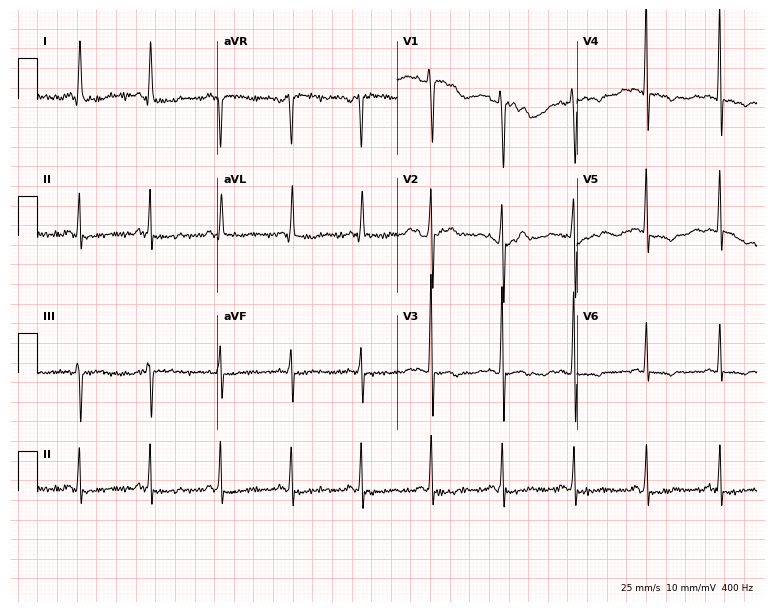
Standard 12-lead ECG recorded from a female, 46 years old. None of these six findings is recorded: first-degree AV block, right bundle branch block (RBBB), left bundle branch block (LBBB), sinus bradycardia, atrial fibrillation (AF), sinus tachycardia. Findings outside these six are not listed.